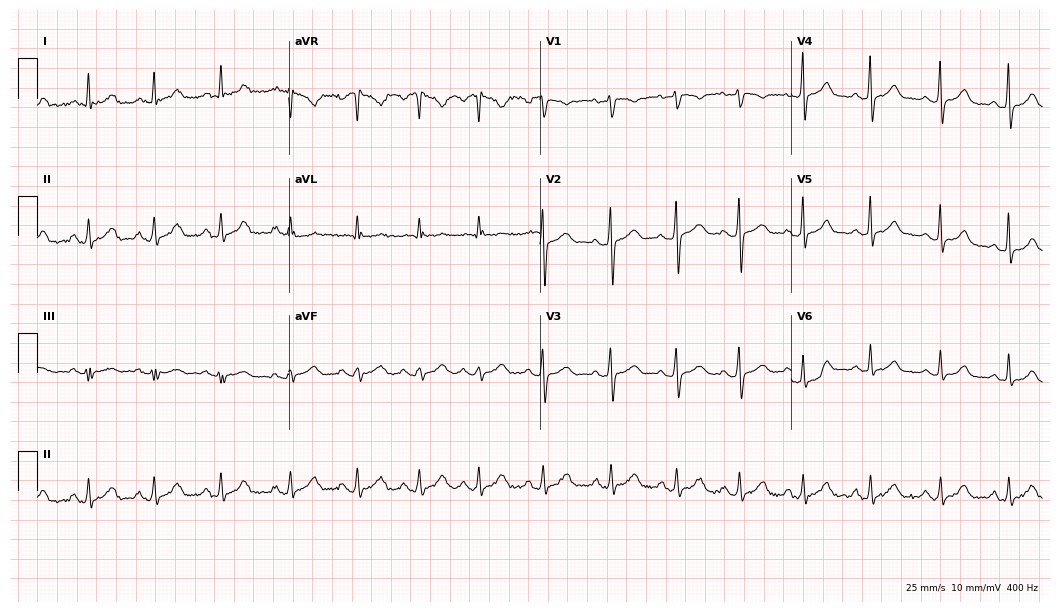
Standard 12-lead ECG recorded from a female, 30 years old (10.2-second recording at 400 Hz). Read as a normal ECG.